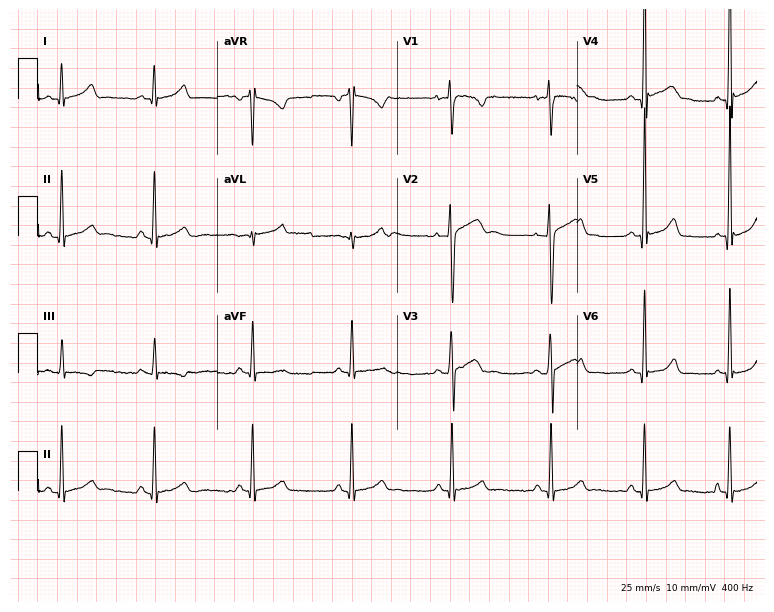
12-lead ECG from a 20-year-old man. Labelled as a normal ECG.